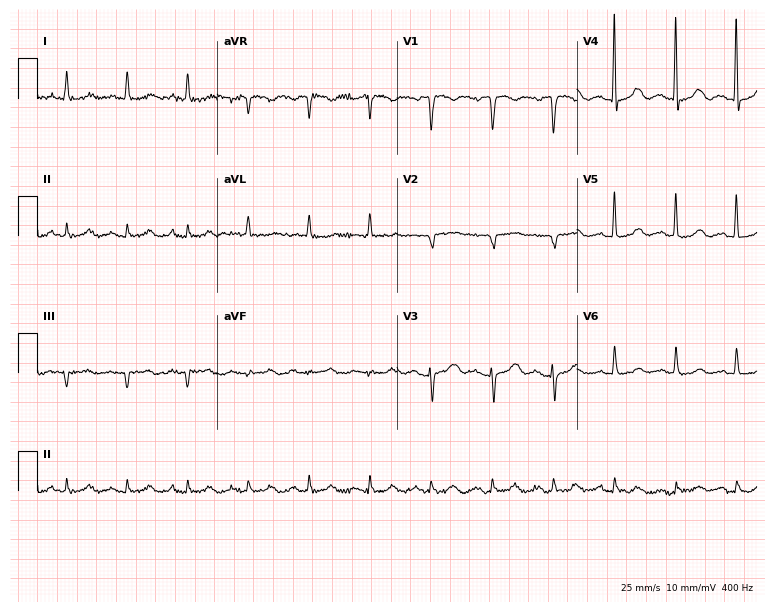
Standard 12-lead ECG recorded from a 36-year-old woman. Read as a normal ECG.